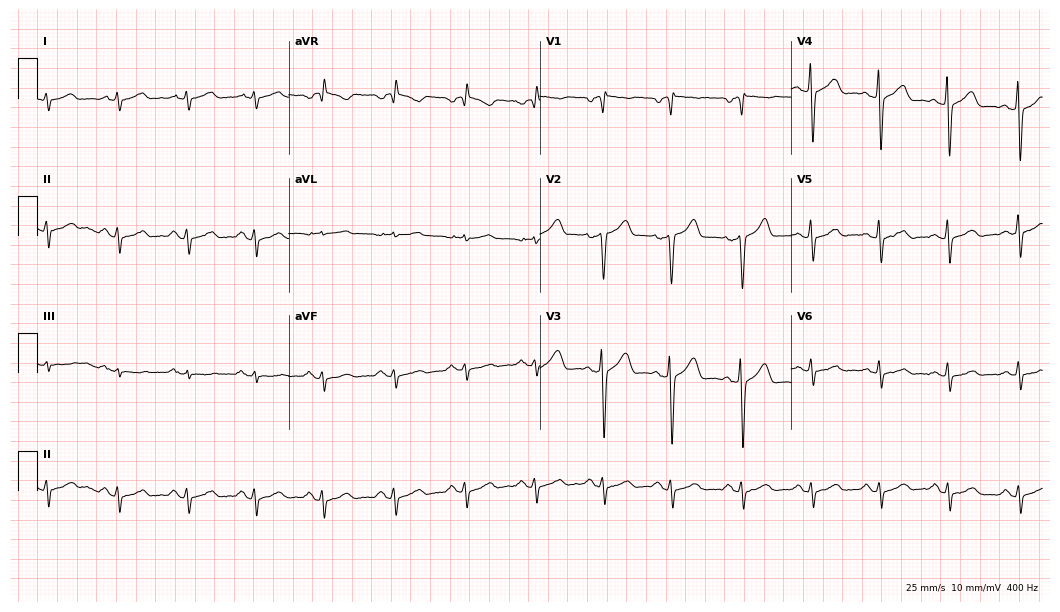
Resting 12-lead electrocardiogram (10.2-second recording at 400 Hz). Patient: a male, 39 years old. None of these six findings is recorded: first-degree AV block, right bundle branch block, left bundle branch block, sinus bradycardia, atrial fibrillation, sinus tachycardia.